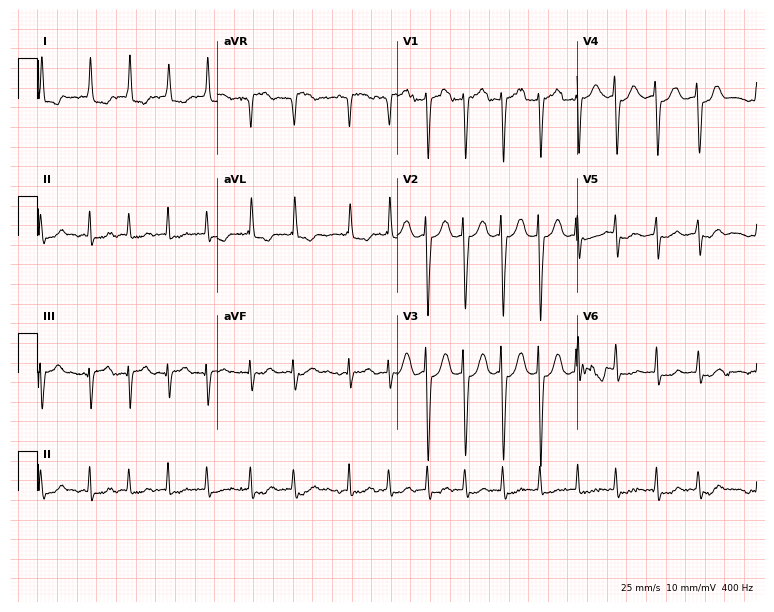
Electrocardiogram (7.3-second recording at 400 Hz), an 83-year-old female. Interpretation includes sinus tachycardia (a sinus rate of 100 beats per minute or more).